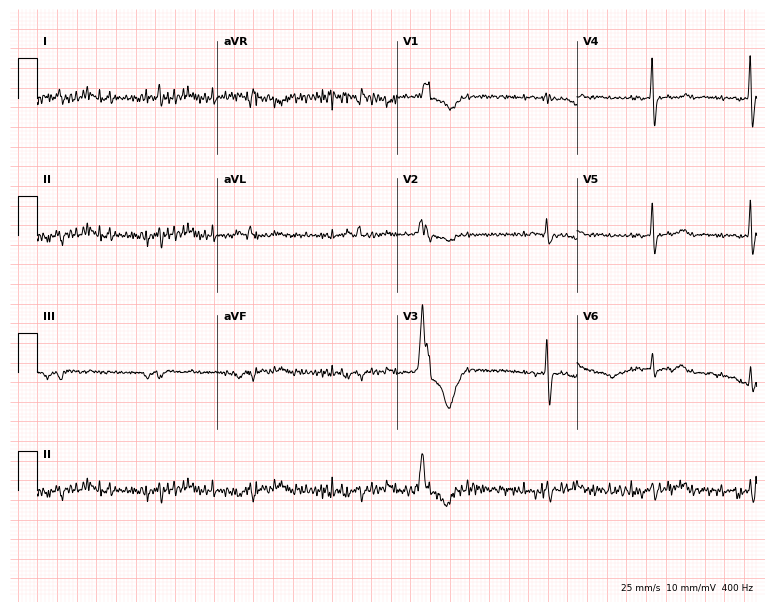
12-lead ECG from a 72-year-old female patient (7.3-second recording at 400 Hz). No first-degree AV block, right bundle branch block (RBBB), left bundle branch block (LBBB), sinus bradycardia, atrial fibrillation (AF) or sinus tachycardia recorded for this tracing. Only these six findings were labelled.